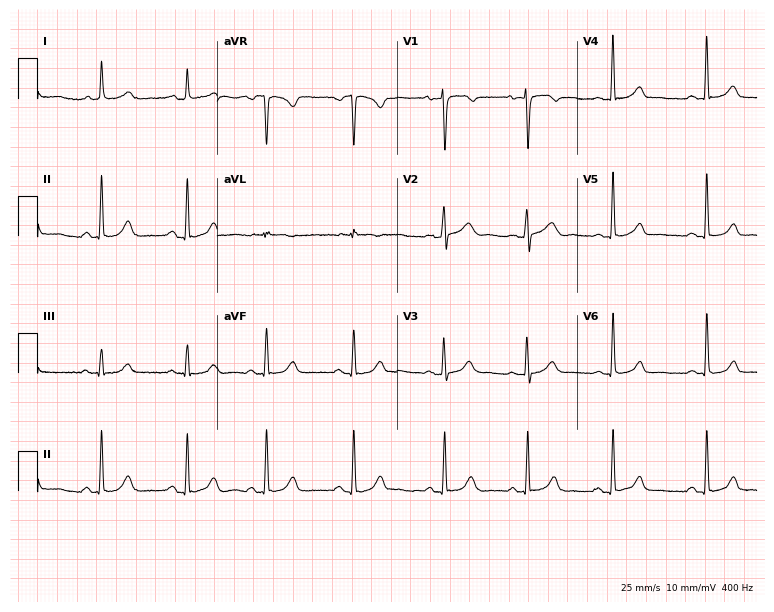
Electrocardiogram, a female, 36 years old. Overall reading on record: normal ECG.